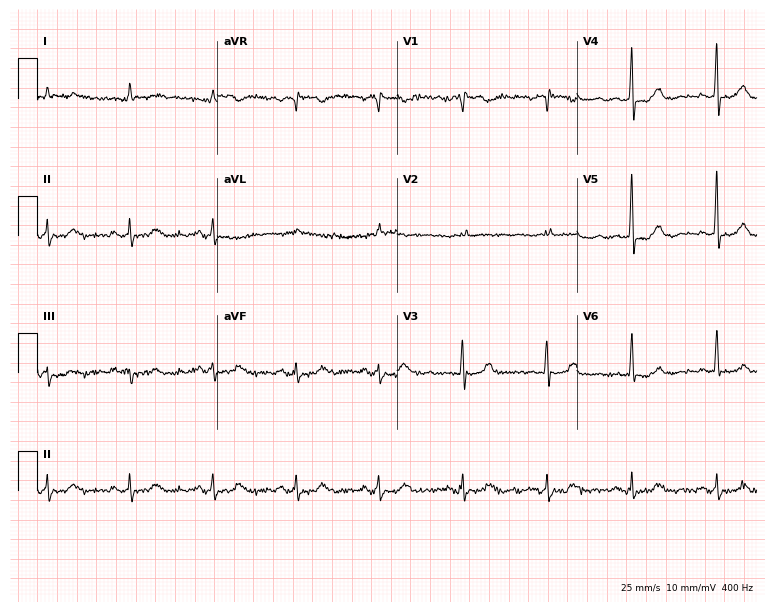
Standard 12-lead ECG recorded from a female patient, 85 years old. Read as a normal ECG.